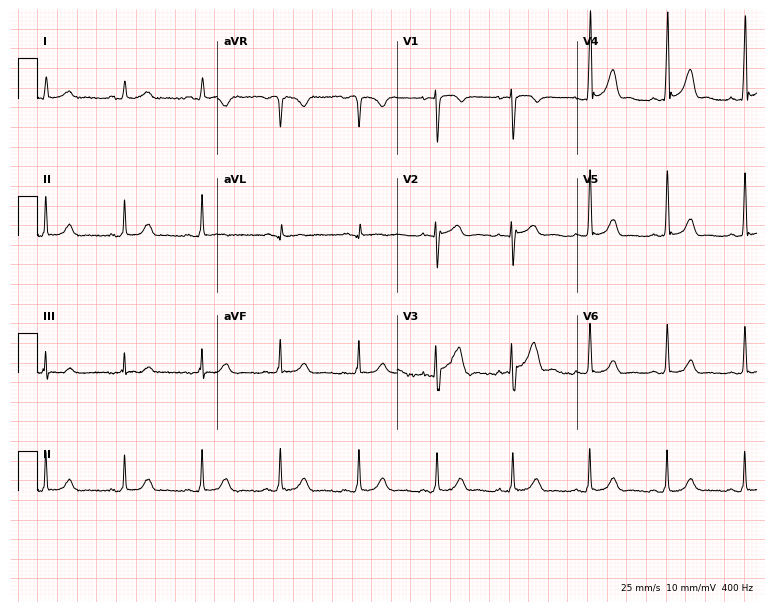
Standard 12-lead ECG recorded from a 36-year-old male (7.3-second recording at 400 Hz). None of these six findings is recorded: first-degree AV block, right bundle branch block, left bundle branch block, sinus bradycardia, atrial fibrillation, sinus tachycardia.